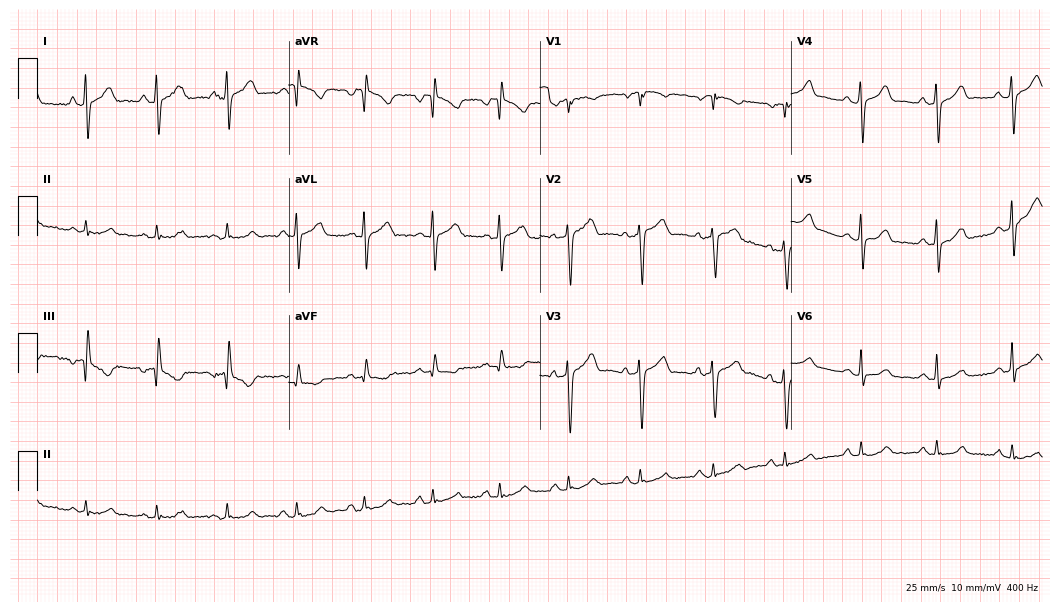
12-lead ECG from a male patient, 36 years old. Recorded interpretation: within normal limits.